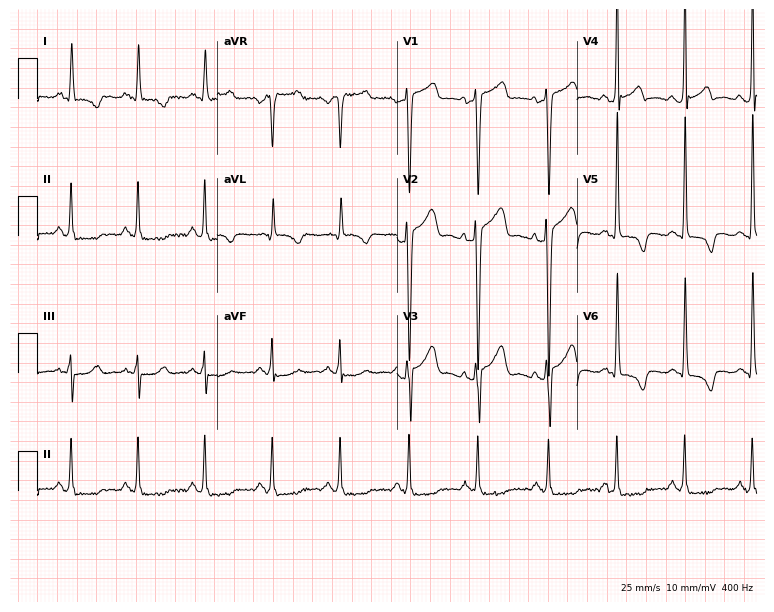
Resting 12-lead electrocardiogram. Patient: a 48-year-old male. None of these six findings is recorded: first-degree AV block, right bundle branch block, left bundle branch block, sinus bradycardia, atrial fibrillation, sinus tachycardia.